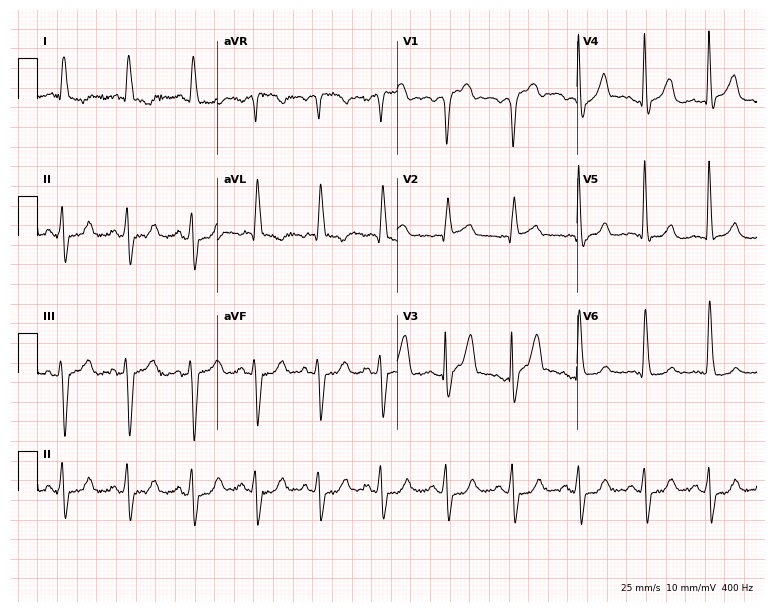
12-lead ECG from a 72-year-old man. No first-degree AV block, right bundle branch block, left bundle branch block, sinus bradycardia, atrial fibrillation or sinus tachycardia recorded for this tracing.